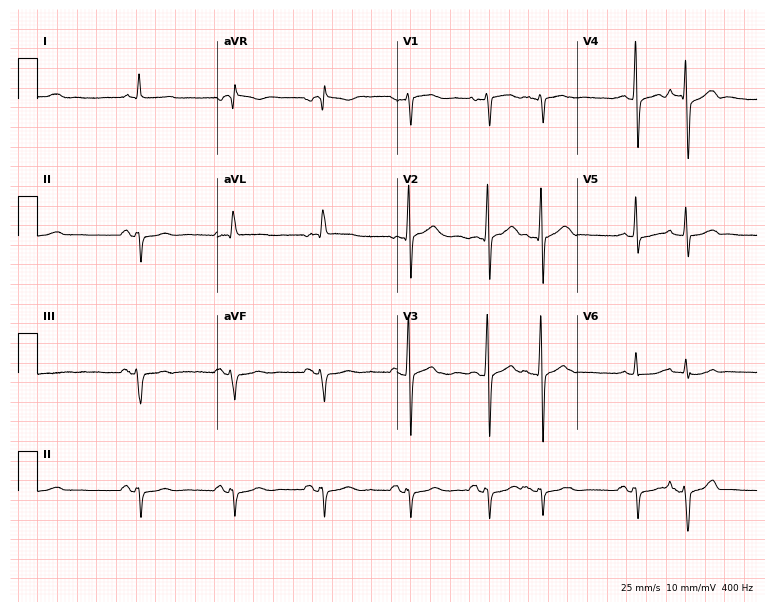
12-lead ECG from a male, 73 years old. Screened for six findings — first-degree AV block, right bundle branch block, left bundle branch block, sinus bradycardia, atrial fibrillation, sinus tachycardia — none is recorded. Findings outside these six are not listed.